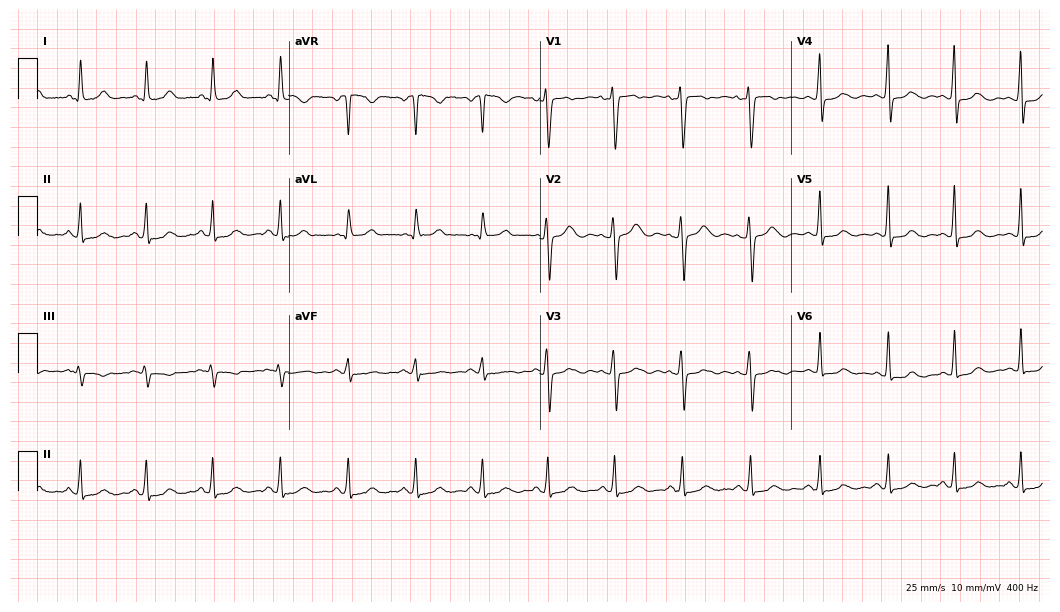
12-lead ECG from a 45-year-old female patient (10.2-second recording at 400 Hz). Recorded interpretation: within normal limits.